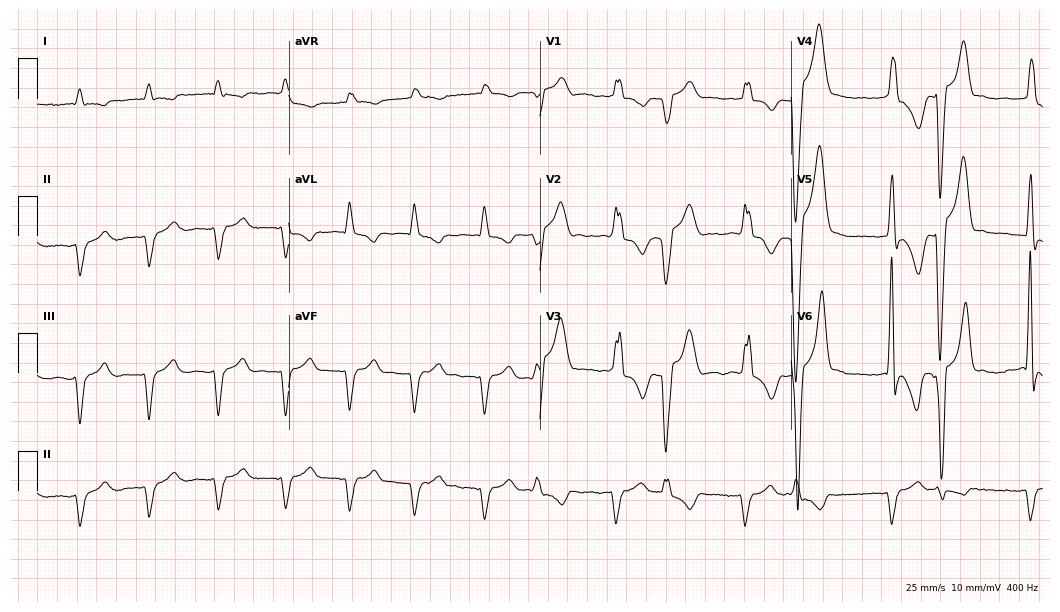
Standard 12-lead ECG recorded from a man, 80 years old (10.2-second recording at 400 Hz). The tracing shows right bundle branch block, atrial fibrillation.